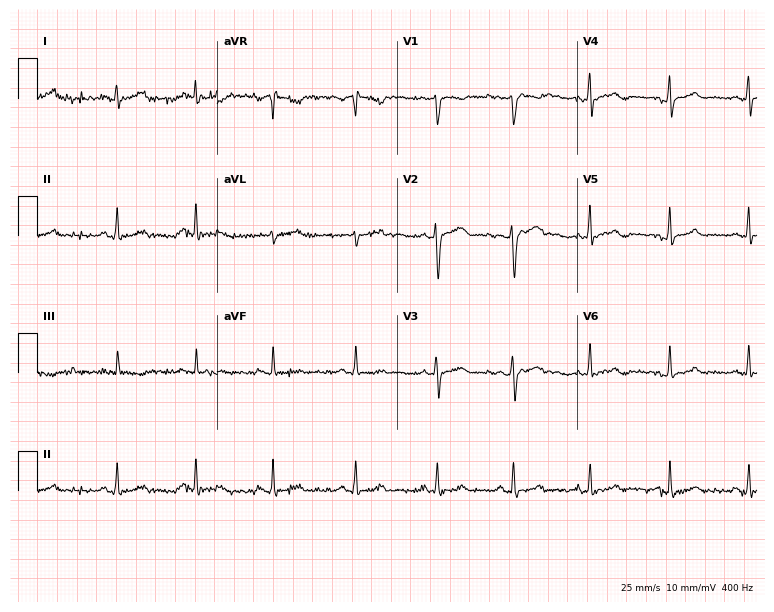
12-lead ECG from a 28-year-old female. Screened for six findings — first-degree AV block, right bundle branch block (RBBB), left bundle branch block (LBBB), sinus bradycardia, atrial fibrillation (AF), sinus tachycardia — none is recorded.